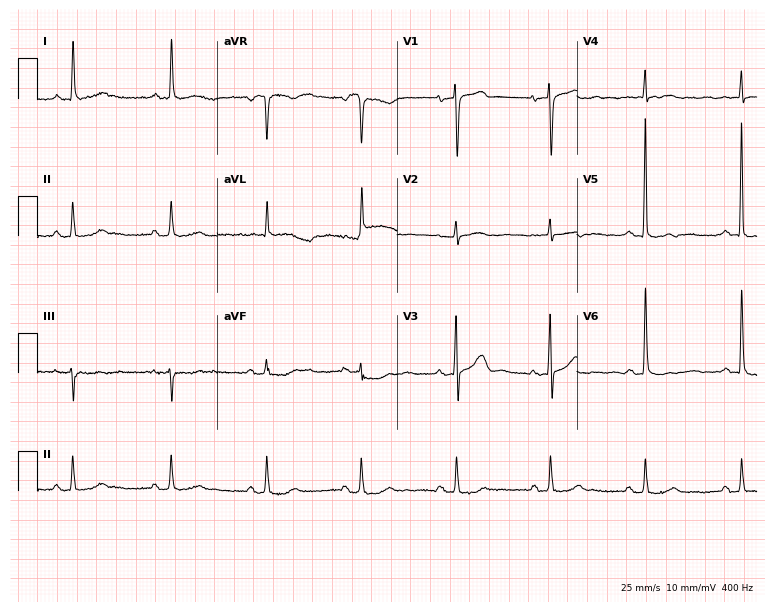
ECG (7.3-second recording at 400 Hz) — a 71-year-old female patient. Screened for six findings — first-degree AV block, right bundle branch block, left bundle branch block, sinus bradycardia, atrial fibrillation, sinus tachycardia — none is recorded.